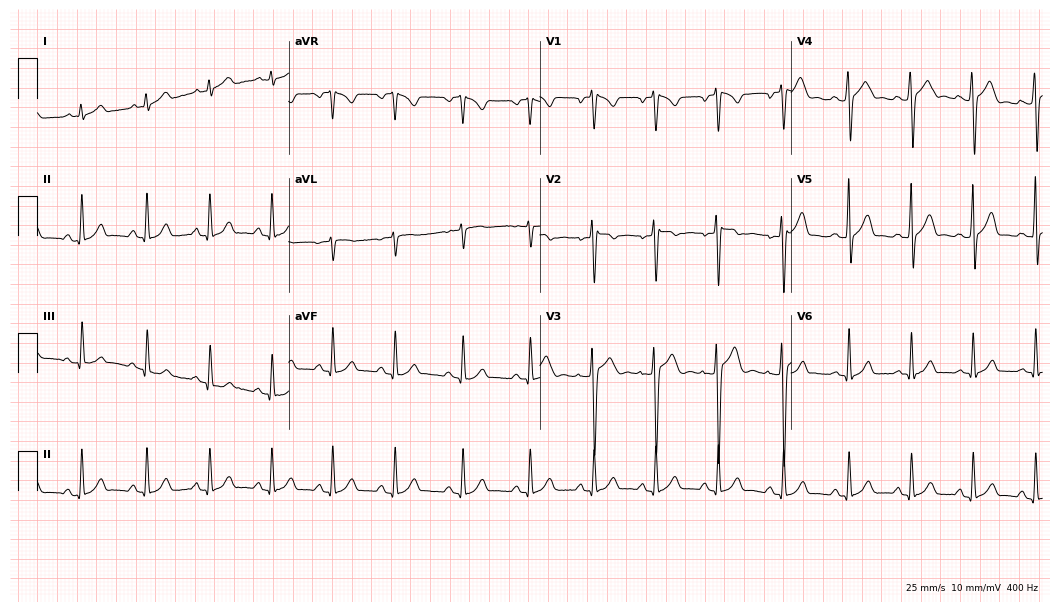
12-lead ECG (10.2-second recording at 400 Hz) from a 25-year-old female. Screened for six findings — first-degree AV block, right bundle branch block, left bundle branch block, sinus bradycardia, atrial fibrillation, sinus tachycardia — none is recorded. Findings outside these six are not listed.